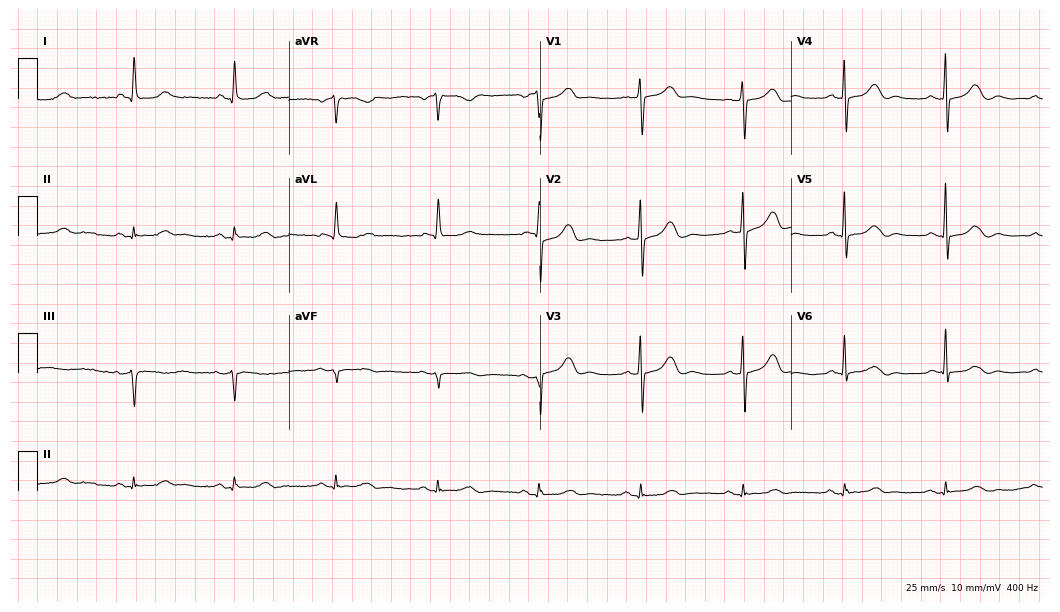
ECG — a woman, 81 years old. Labelled as a normal ECG.